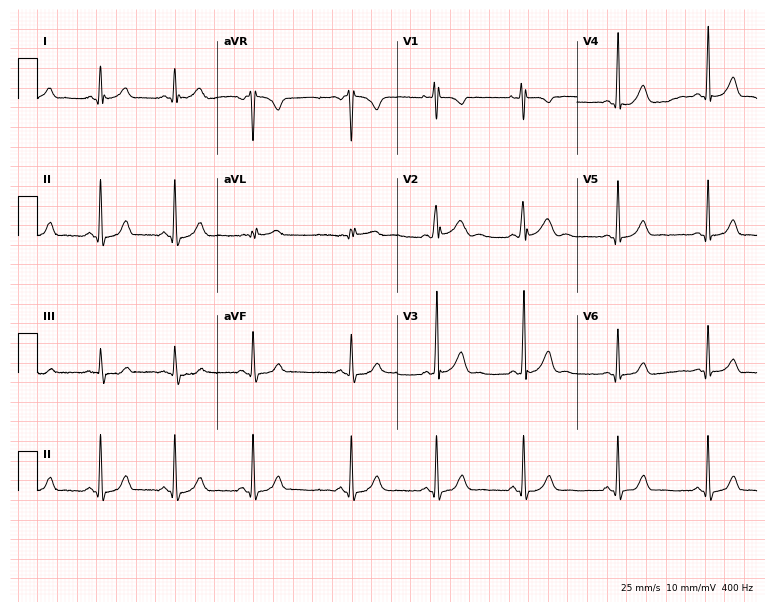
Standard 12-lead ECG recorded from an 18-year-old woman (7.3-second recording at 400 Hz). Read as a normal ECG.